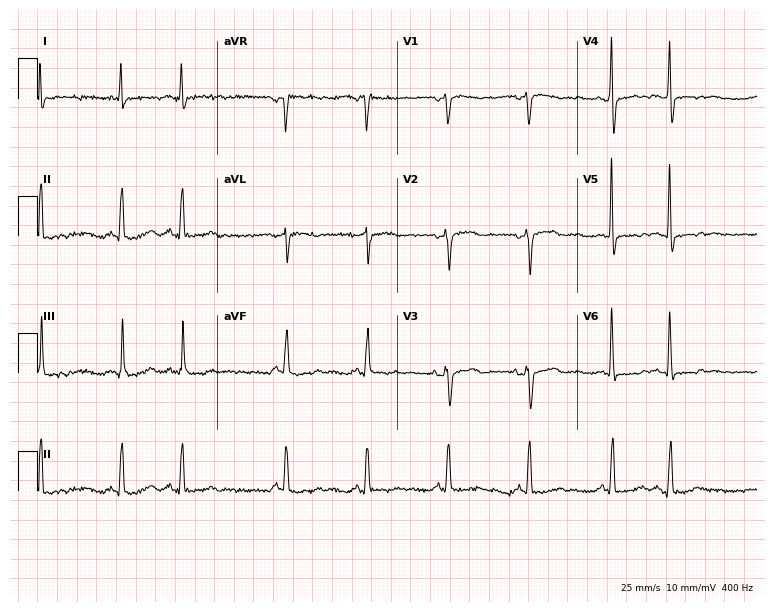
Standard 12-lead ECG recorded from a 73-year-old female. None of these six findings is recorded: first-degree AV block, right bundle branch block (RBBB), left bundle branch block (LBBB), sinus bradycardia, atrial fibrillation (AF), sinus tachycardia.